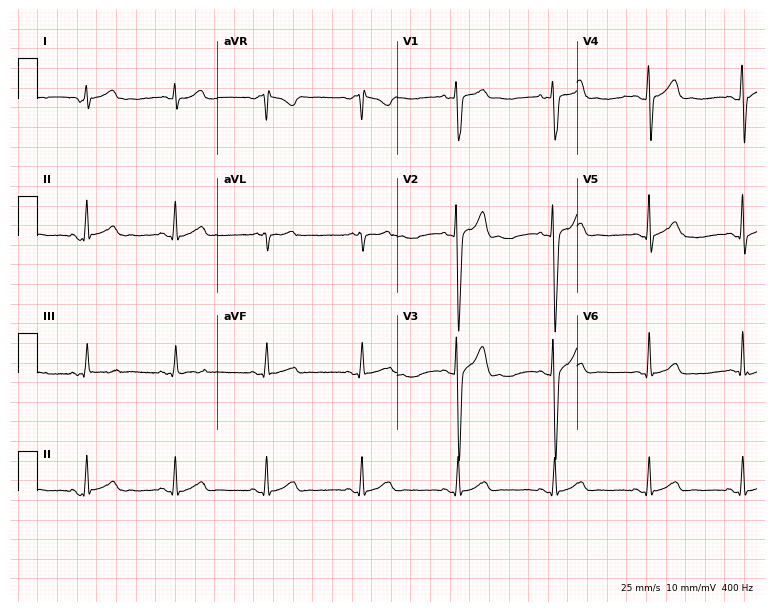
Standard 12-lead ECG recorded from a 21-year-old man. Read as a normal ECG.